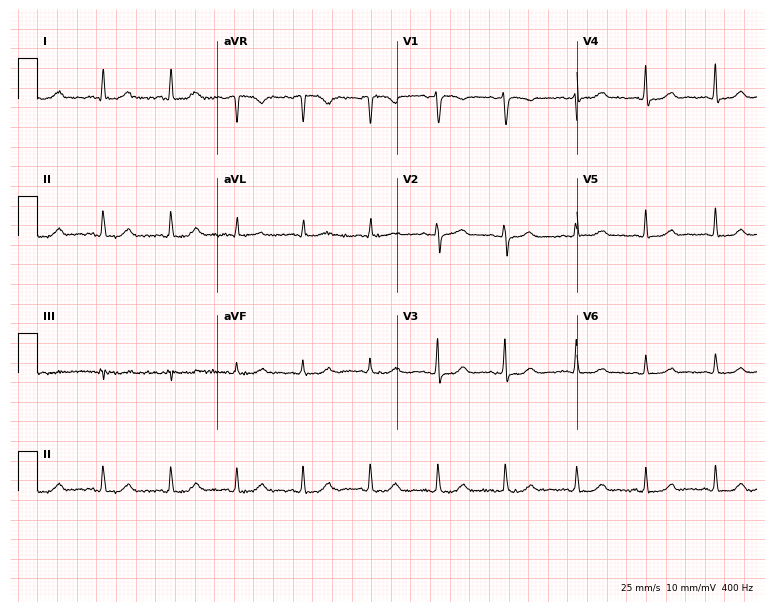
12-lead ECG from a female patient, 73 years old (7.3-second recording at 400 Hz). No first-degree AV block, right bundle branch block, left bundle branch block, sinus bradycardia, atrial fibrillation or sinus tachycardia recorded for this tracing.